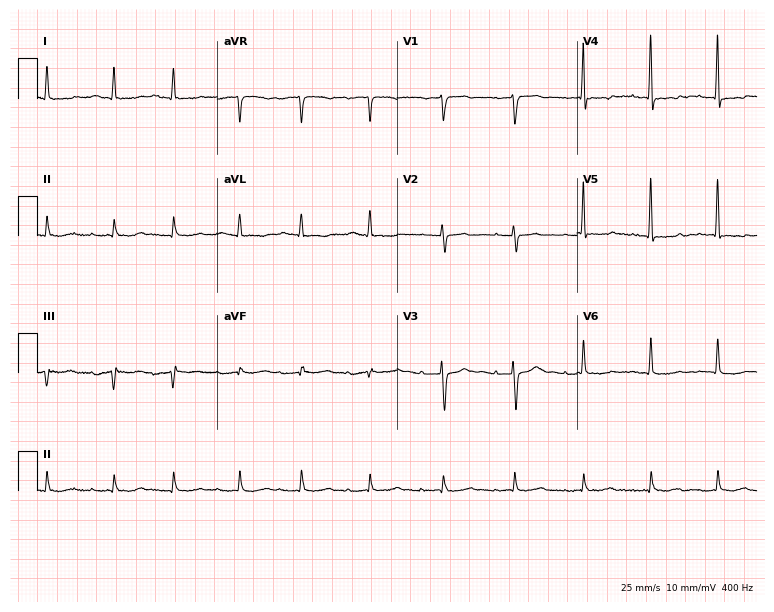
Electrocardiogram (7.3-second recording at 400 Hz), a female, 88 years old. Of the six screened findings (first-degree AV block, right bundle branch block (RBBB), left bundle branch block (LBBB), sinus bradycardia, atrial fibrillation (AF), sinus tachycardia), none is recorded.